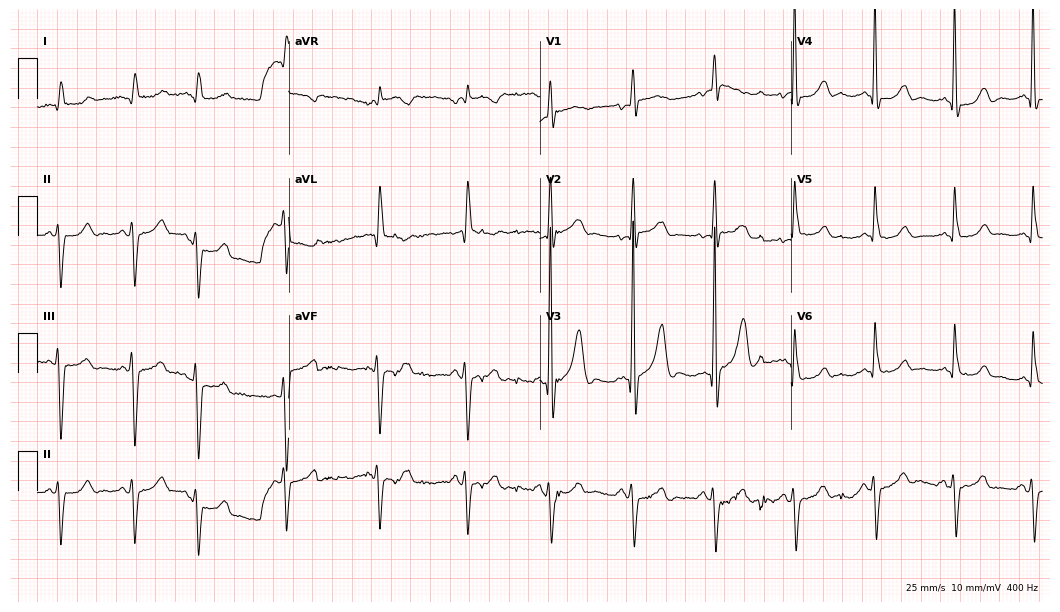
12-lead ECG (10.2-second recording at 400 Hz) from a male, 84 years old. Screened for six findings — first-degree AV block, right bundle branch block, left bundle branch block, sinus bradycardia, atrial fibrillation, sinus tachycardia — none is recorded.